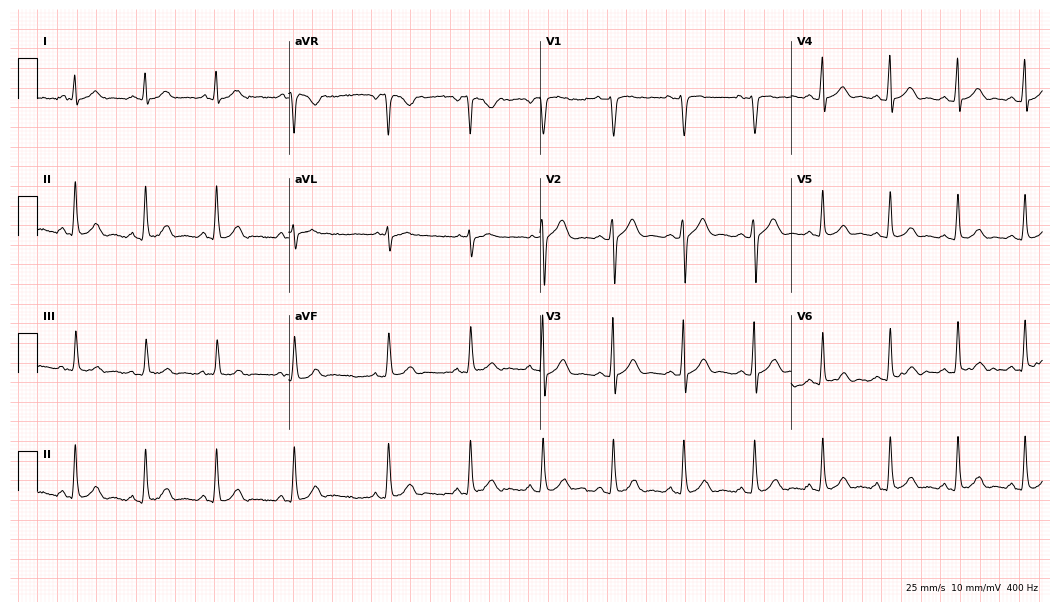
Resting 12-lead electrocardiogram. Patient: a 22-year-old male. None of these six findings is recorded: first-degree AV block, right bundle branch block (RBBB), left bundle branch block (LBBB), sinus bradycardia, atrial fibrillation (AF), sinus tachycardia. Findings outside these six are not listed.